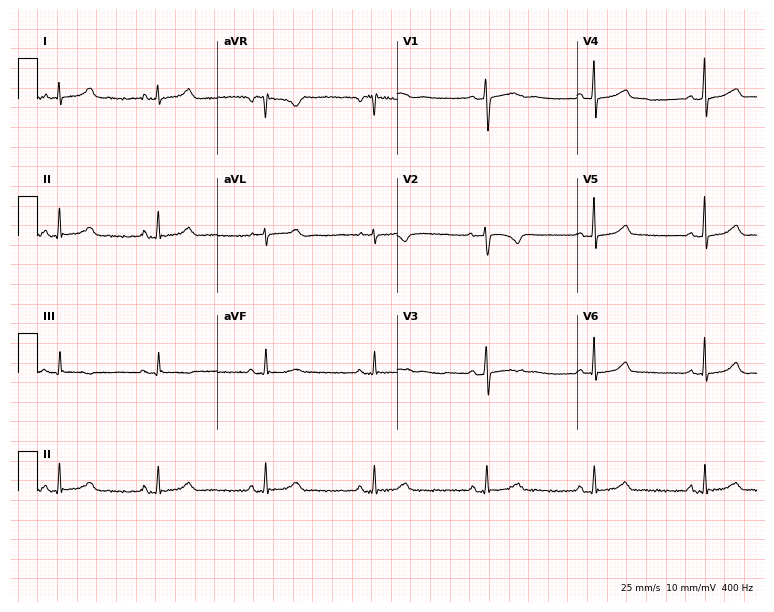
ECG — a 33-year-old female. Labelled as a normal ECG.